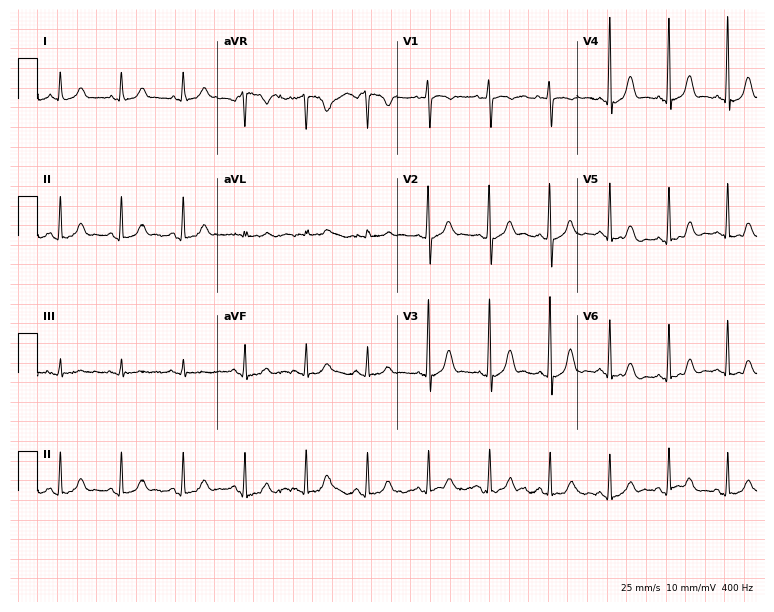
ECG — a 25-year-old female patient. Screened for six findings — first-degree AV block, right bundle branch block, left bundle branch block, sinus bradycardia, atrial fibrillation, sinus tachycardia — none is recorded.